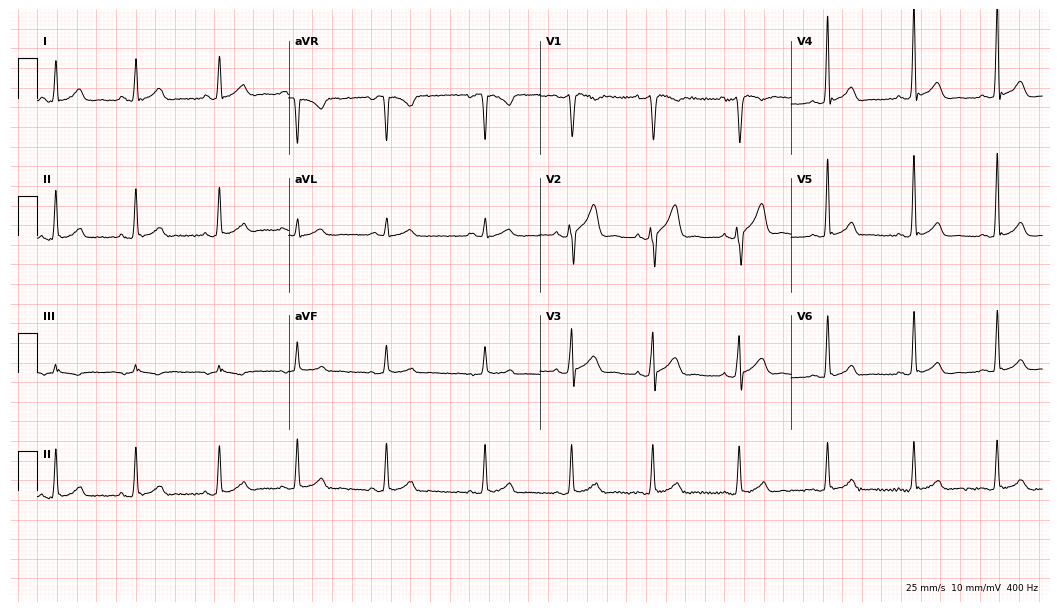
Resting 12-lead electrocardiogram. Patient: a 27-year-old male. Read as a normal ECG.